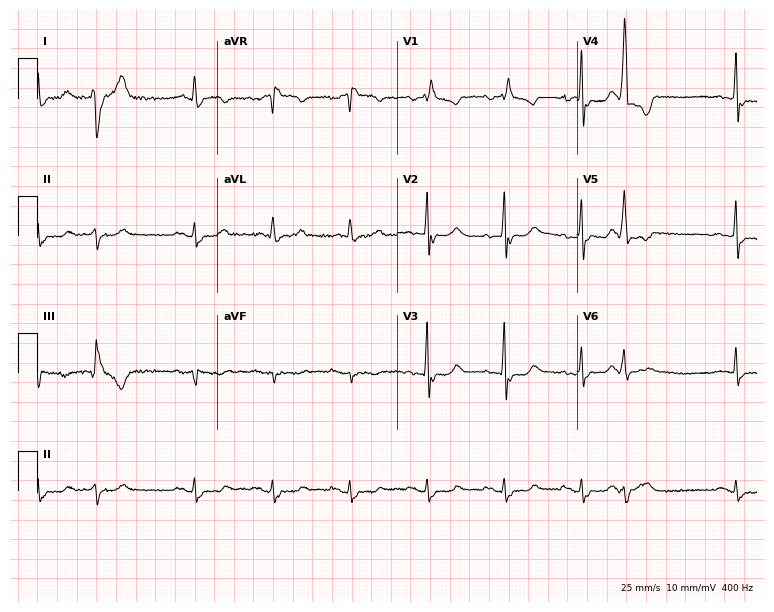
12-lead ECG (7.3-second recording at 400 Hz) from a 75-year-old female patient. Findings include right bundle branch block.